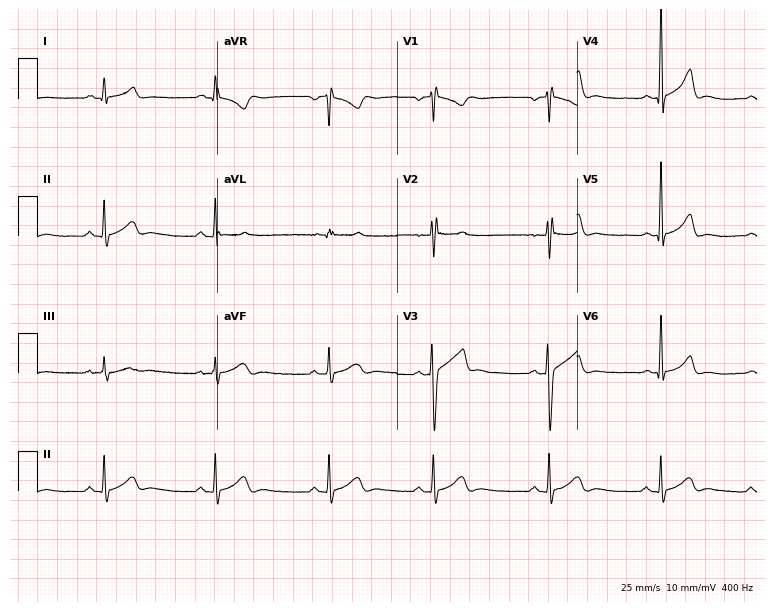
12-lead ECG from a man, 24 years old. No first-degree AV block, right bundle branch block (RBBB), left bundle branch block (LBBB), sinus bradycardia, atrial fibrillation (AF) or sinus tachycardia recorded for this tracing.